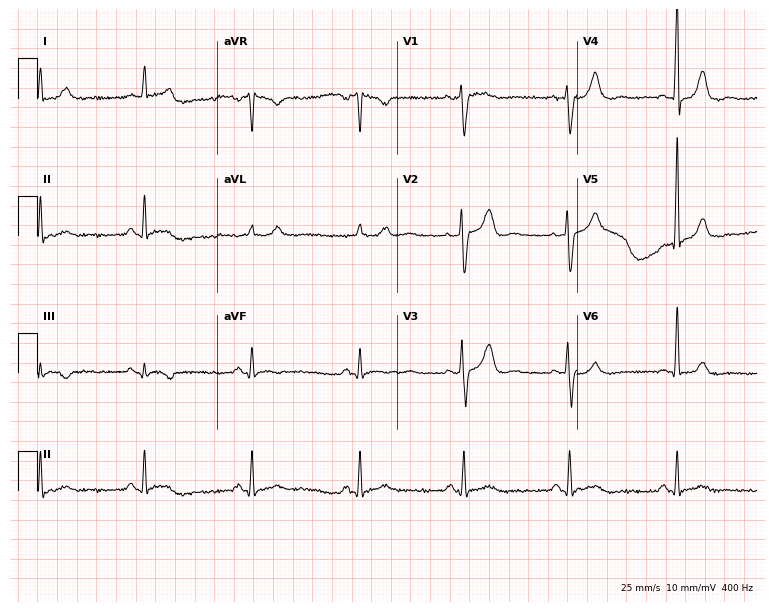
ECG — a 47-year-old male. Screened for six findings — first-degree AV block, right bundle branch block, left bundle branch block, sinus bradycardia, atrial fibrillation, sinus tachycardia — none is recorded.